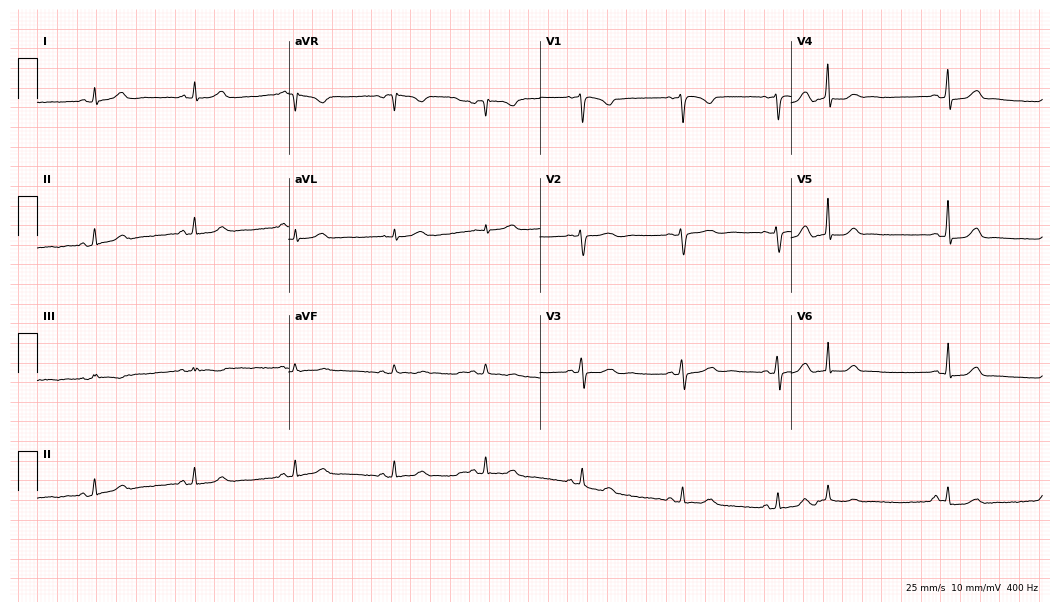
Electrocardiogram, a female, 40 years old. Of the six screened findings (first-degree AV block, right bundle branch block, left bundle branch block, sinus bradycardia, atrial fibrillation, sinus tachycardia), none is recorded. Other findings, if any, are not listed.